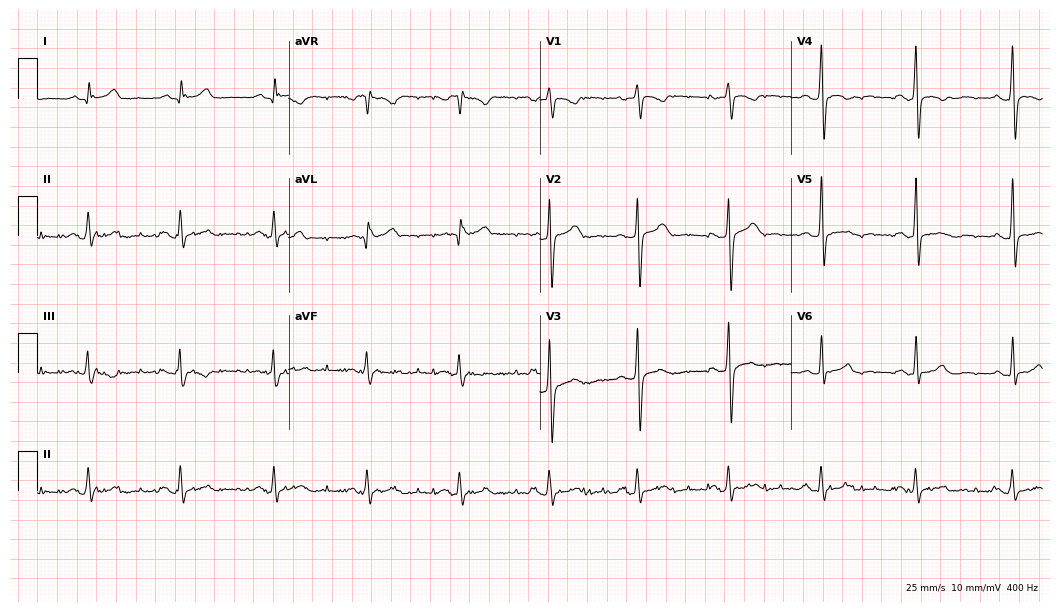
Electrocardiogram, a 47-year-old man. Of the six screened findings (first-degree AV block, right bundle branch block (RBBB), left bundle branch block (LBBB), sinus bradycardia, atrial fibrillation (AF), sinus tachycardia), none is recorded.